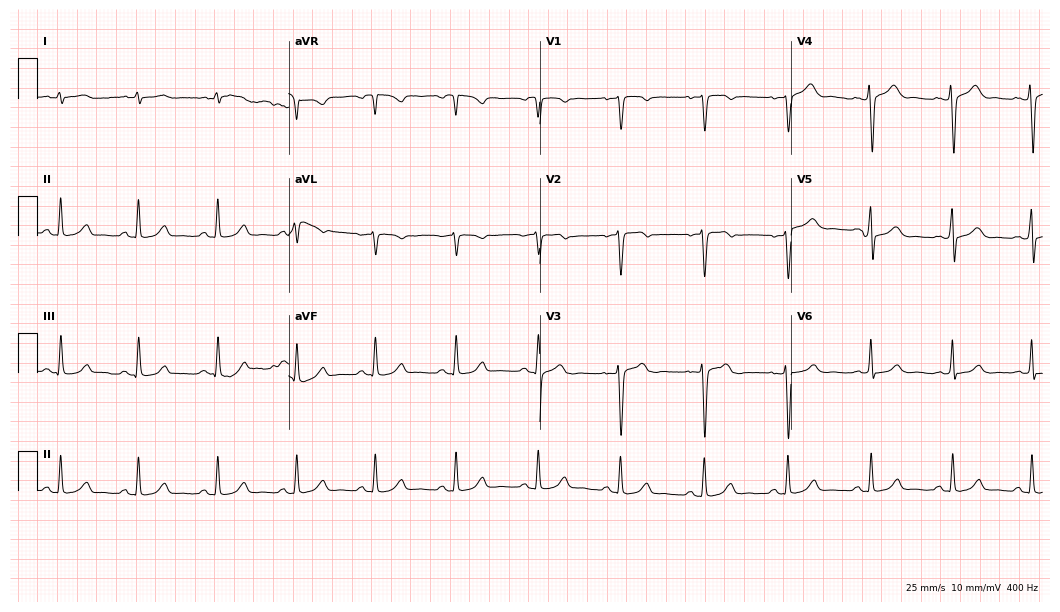
12-lead ECG from a male patient, 47 years old (10.2-second recording at 400 Hz). Recorded interpretation: within normal limits.